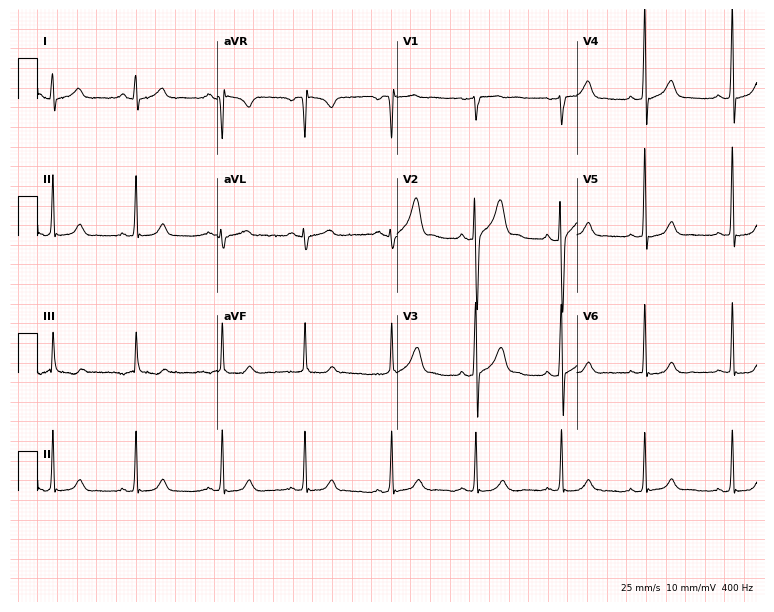
Standard 12-lead ECG recorded from a man, 19 years old. Read as a normal ECG.